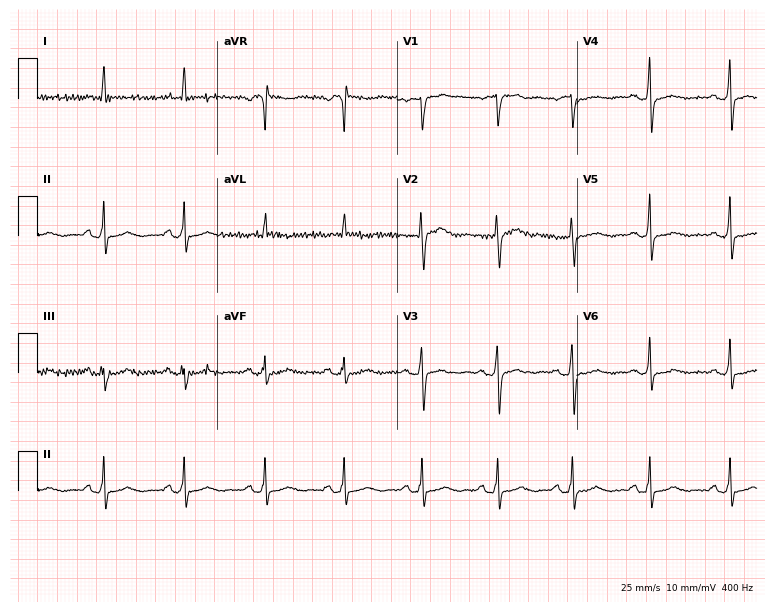
Standard 12-lead ECG recorded from a 60-year-old woman. Read as a normal ECG.